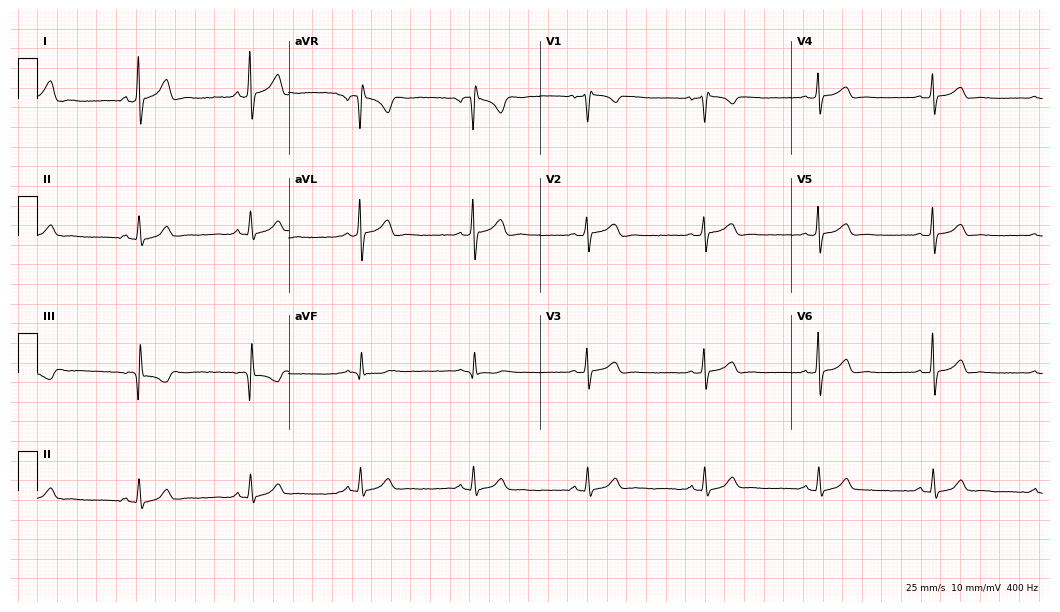
12-lead ECG from a male, 41 years old (10.2-second recording at 400 Hz). Recorded interpretation: within normal limits.